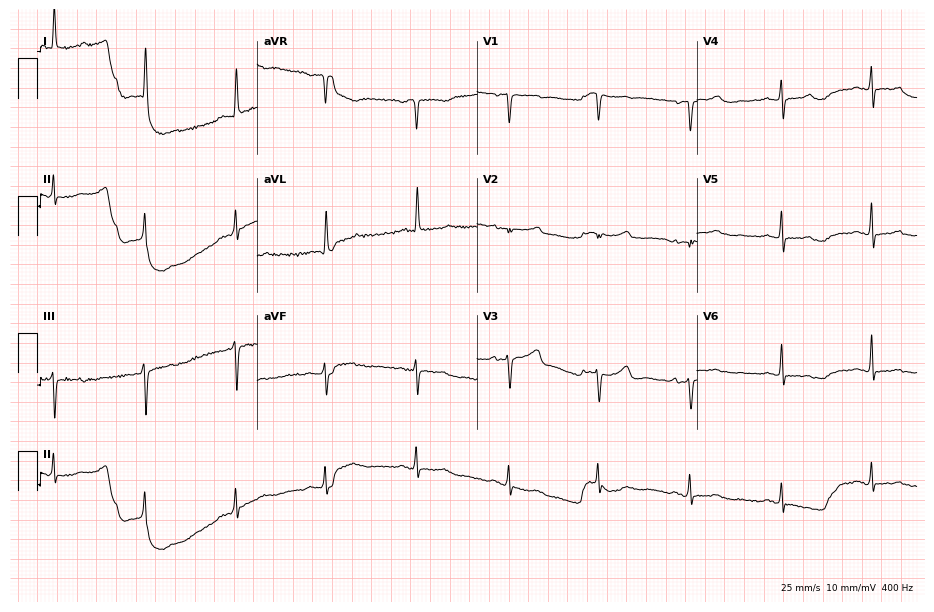
Resting 12-lead electrocardiogram. Patient: a 70-year-old female. Read as a normal ECG.